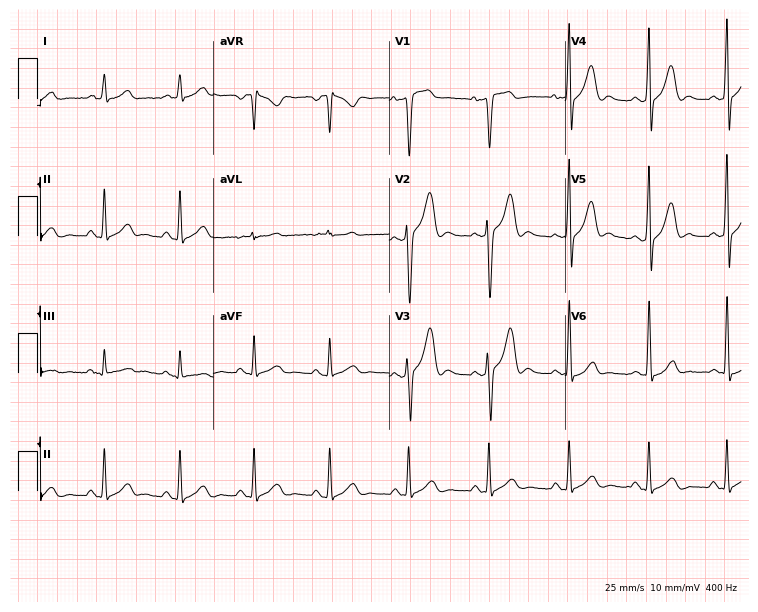
12-lead ECG from a male, 40 years old. No first-degree AV block, right bundle branch block, left bundle branch block, sinus bradycardia, atrial fibrillation or sinus tachycardia recorded for this tracing.